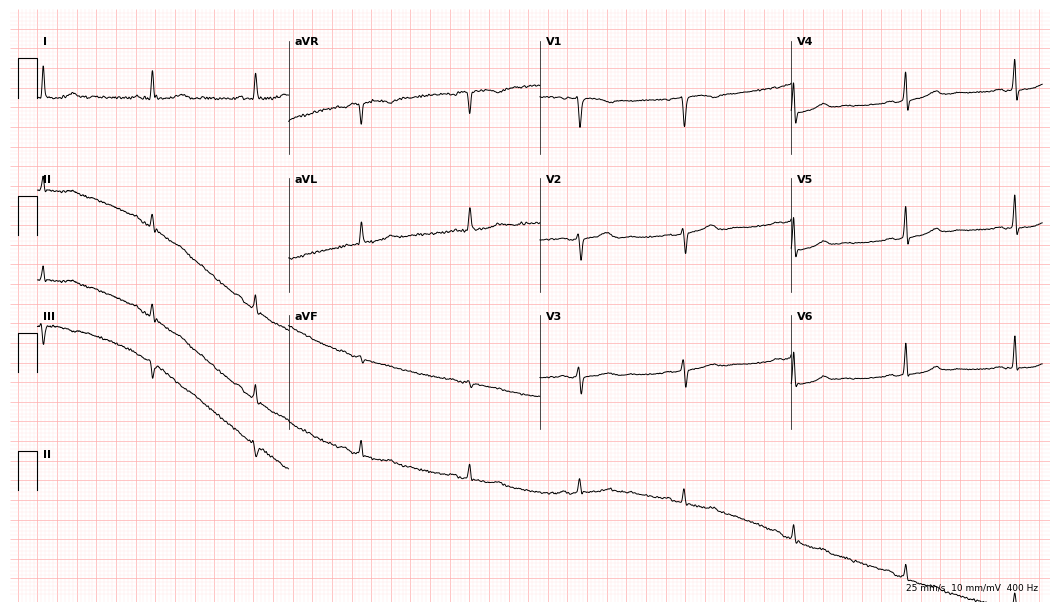
Electrocardiogram (10.2-second recording at 400 Hz), a 60-year-old woman. Of the six screened findings (first-degree AV block, right bundle branch block, left bundle branch block, sinus bradycardia, atrial fibrillation, sinus tachycardia), none is recorded. Findings outside these six are not listed.